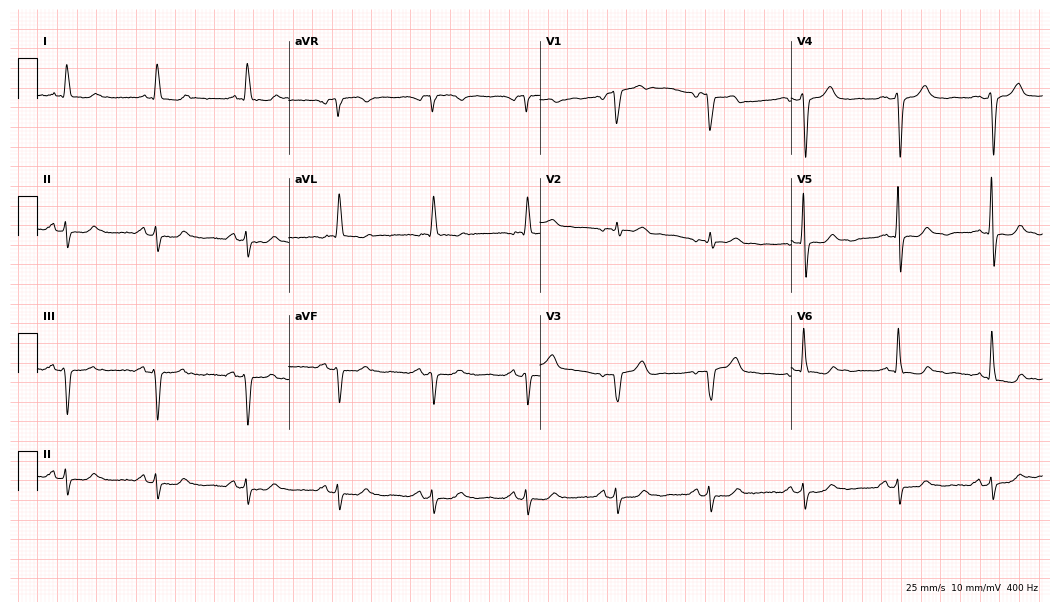
Standard 12-lead ECG recorded from a 75-year-old man (10.2-second recording at 400 Hz). None of these six findings is recorded: first-degree AV block, right bundle branch block, left bundle branch block, sinus bradycardia, atrial fibrillation, sinus tachycardia.